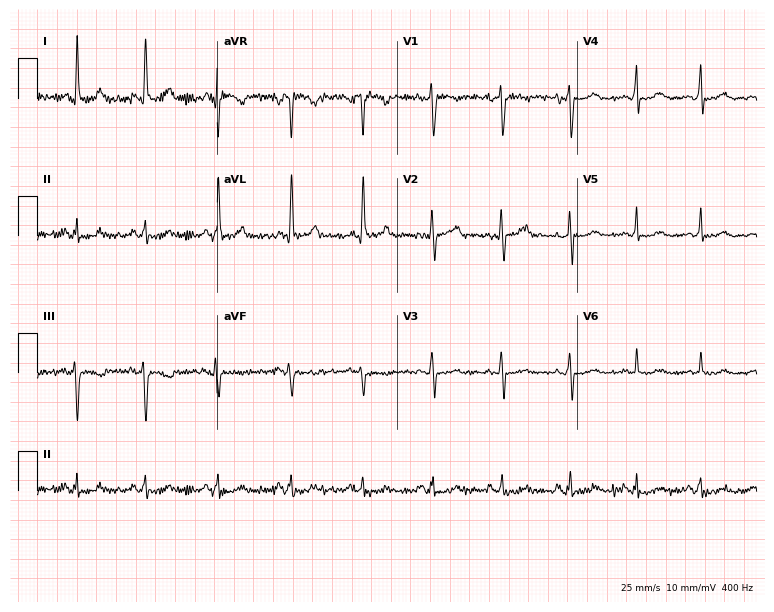
12-lead ECG (7.3-second recording at 400 Hz) from a female patient, 47 years old. Screened for six findings — first-degree AV block, right bundle branch block (RBBB), left bundle branch block (LBBB), sinus bradycardia, atrial fibrillation (AF), sinus tachycardia — none is recorded. Other findings, if any, are not listed.